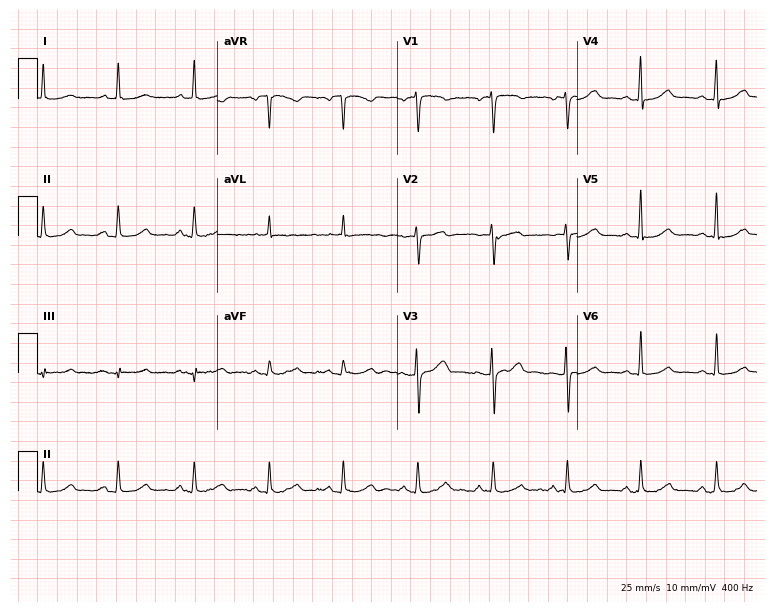
Standard 12-lead ECG recorded from a 48-year-old female. None of these six findings is recorded: first-degree AV block, right bundle branch block (RBBB), left bundle branch block (LBBB), sinus bradycardia, atrial fibrillation (AF), sinus tachycardia.